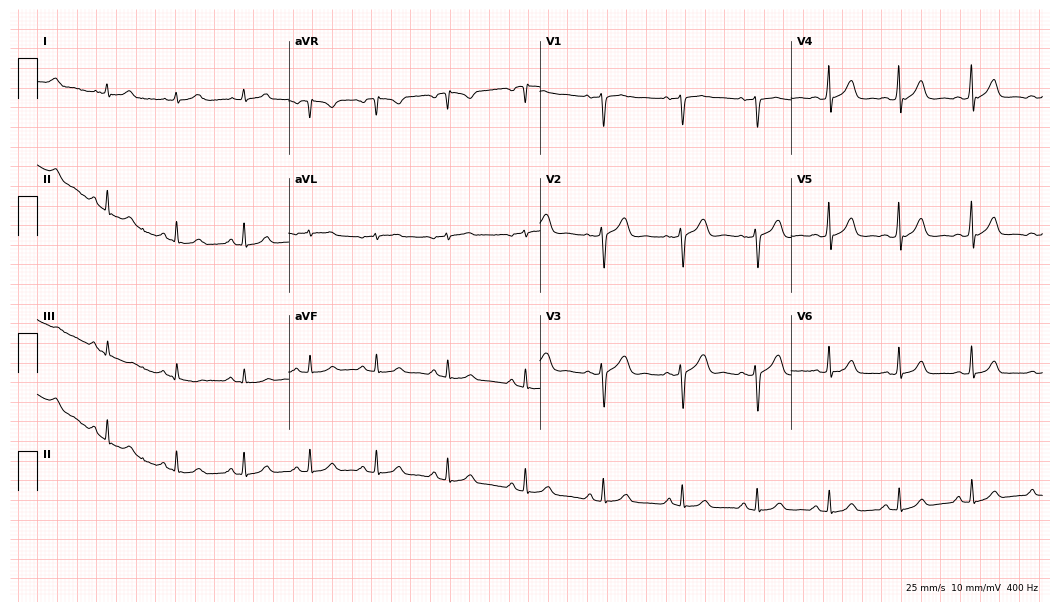
Resting 12-lead electrocardiogram. Patient: a female, 25 years old. Read as a normal ECG.